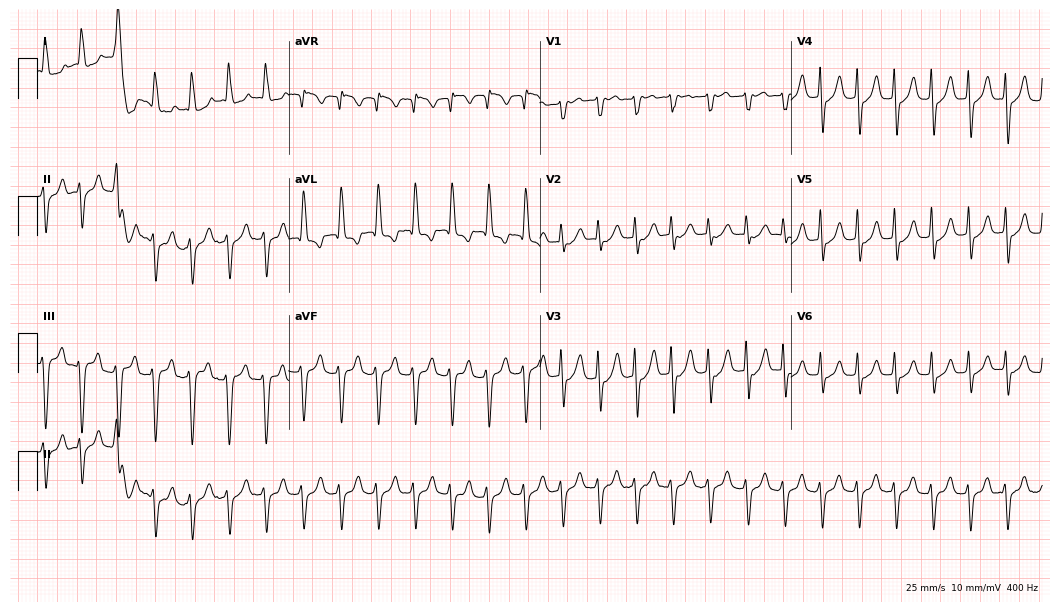
Standard 12-lead ECG recorded from a female, 81 years old (10.2-second recording at 400 Hz). The tracing shows sinus tachycardia (a sinus rate of 100 beats per minute or more).